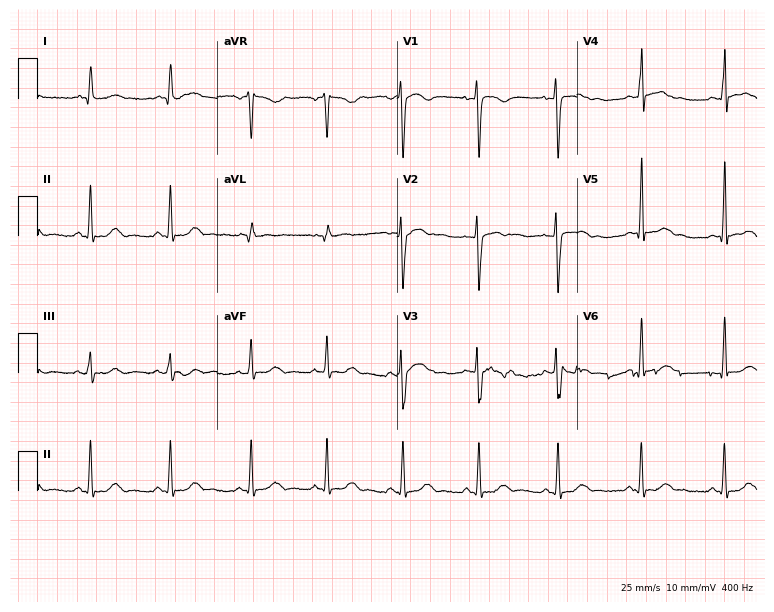
ECG (7.3-second recording at 400 Hz) — a female patient, 36 years old. Labelled as a normal ECG.